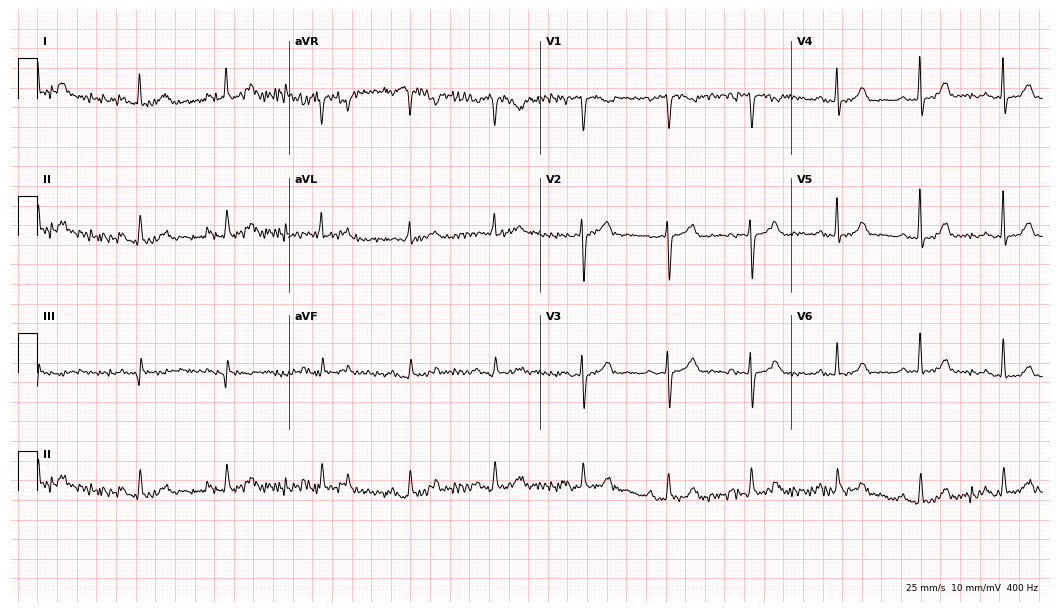
ECG (10.2-second recording at 400 Hz) — a woman, 74 years old. Labelled as a normal ECG.